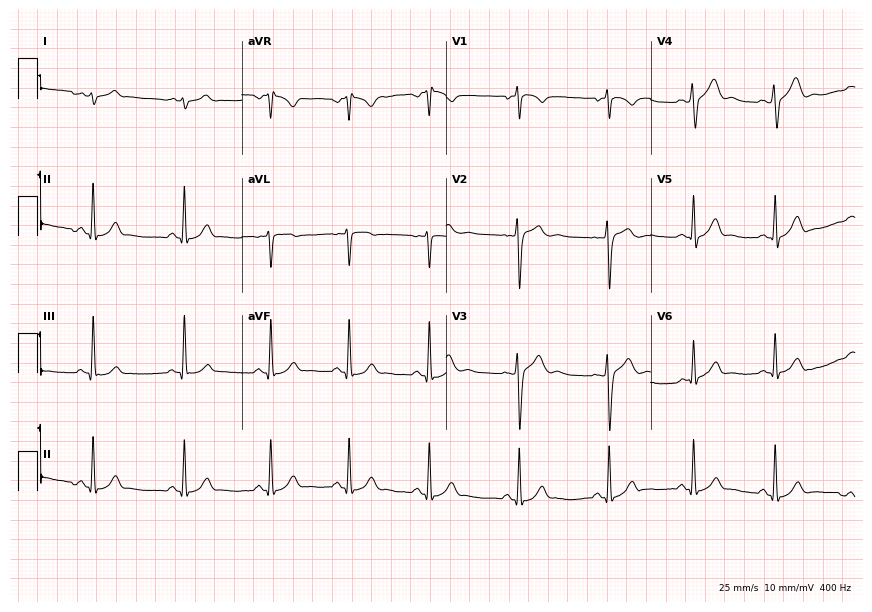
12-lead ECG from a 25-year-old male (8.3-second recording at 400 Hz). No first-degree AV block, right bundle branch block, left bundle branch block, sinus bradycardia, atrial fibrillation or sinus tachycardia recorded for this tracing.